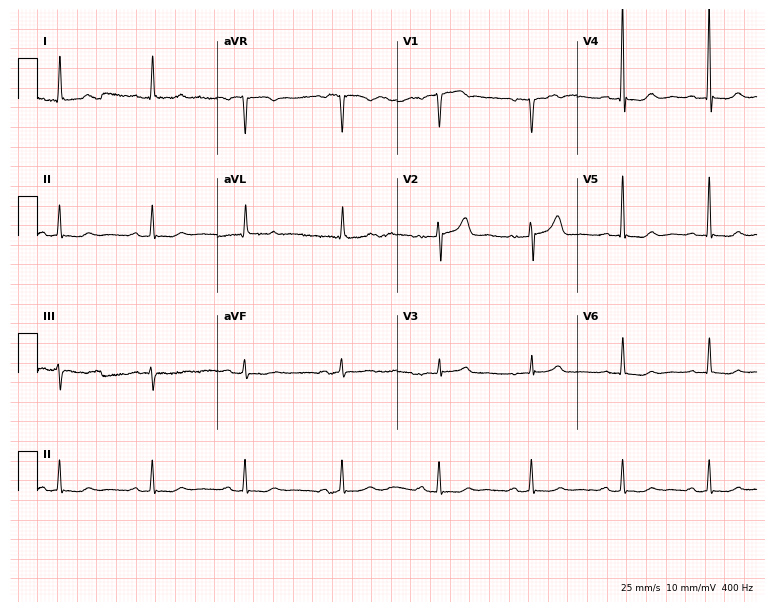
12-lead ECG from a woman, 74 years old (7.3-second recording at 400 Hz). Recorded interpretation: within normal limits.